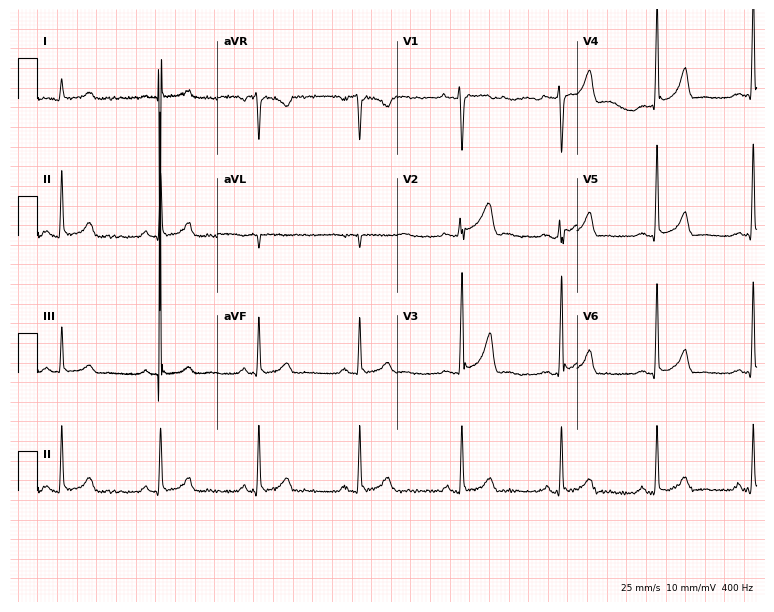
12-lead ECG from a 29-year-old man. Labelled as a normal ECG.